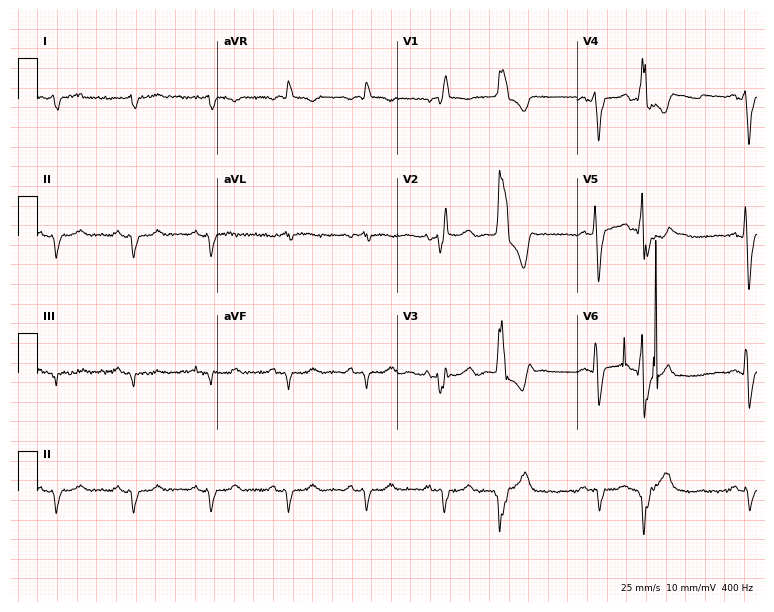
Resting 12-lead electrocardiogram. Patient: a 64-year-old male. The tracing shows right bundle branch block (RBBB).